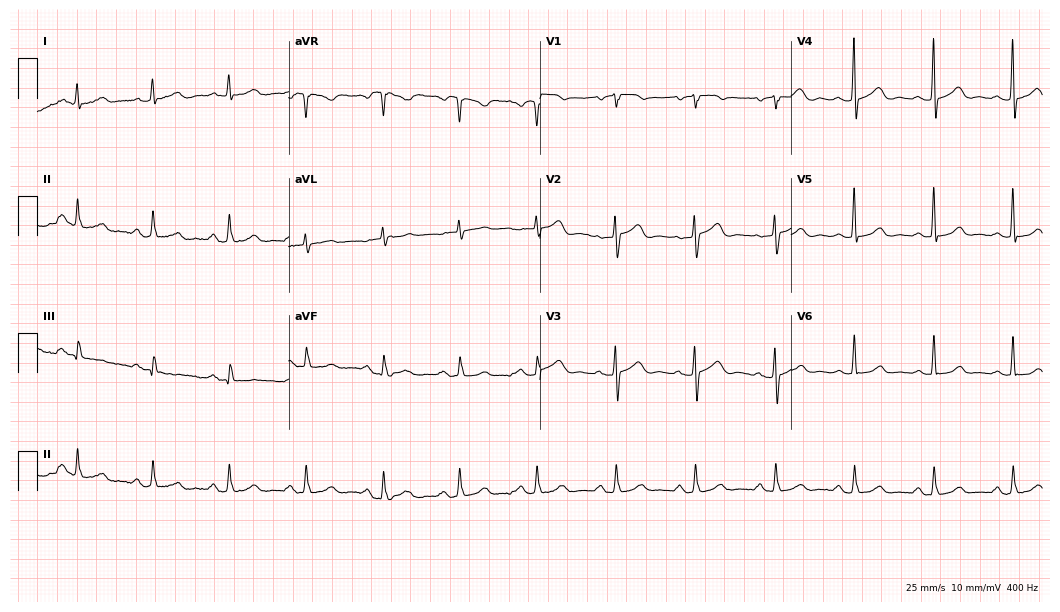
Standard 12-lead ECG recorded from a female, 69 years old. Read as a normal ECG.